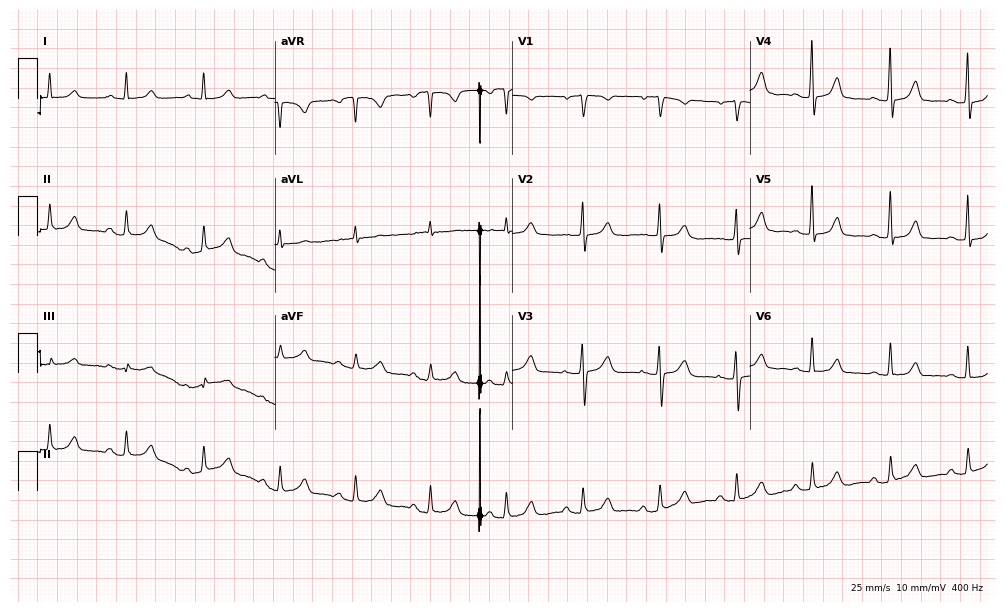
Standard 12-lead ECG recorded from a female patient, 66 years old. Read as a normal ECG.